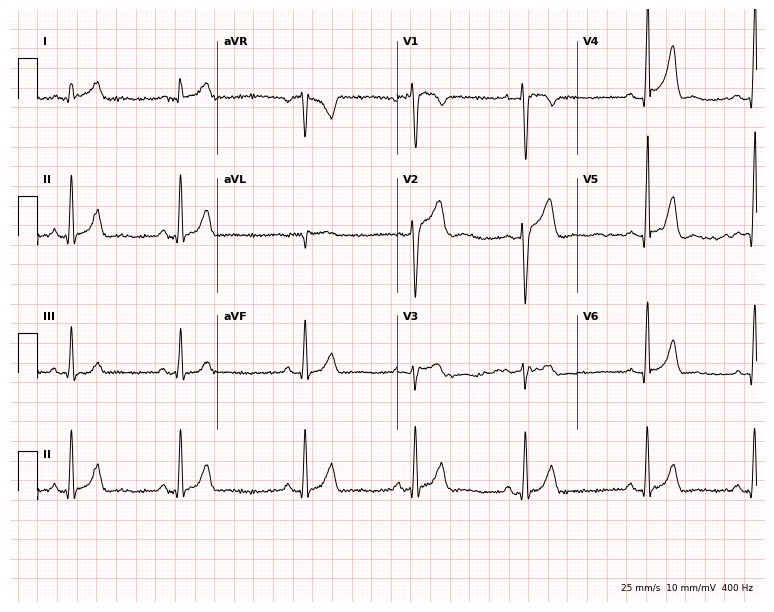
12-lead ECG (7.3-second recording at 400 Hz) from a male, 19 years old. Labelled as a normal ECG.